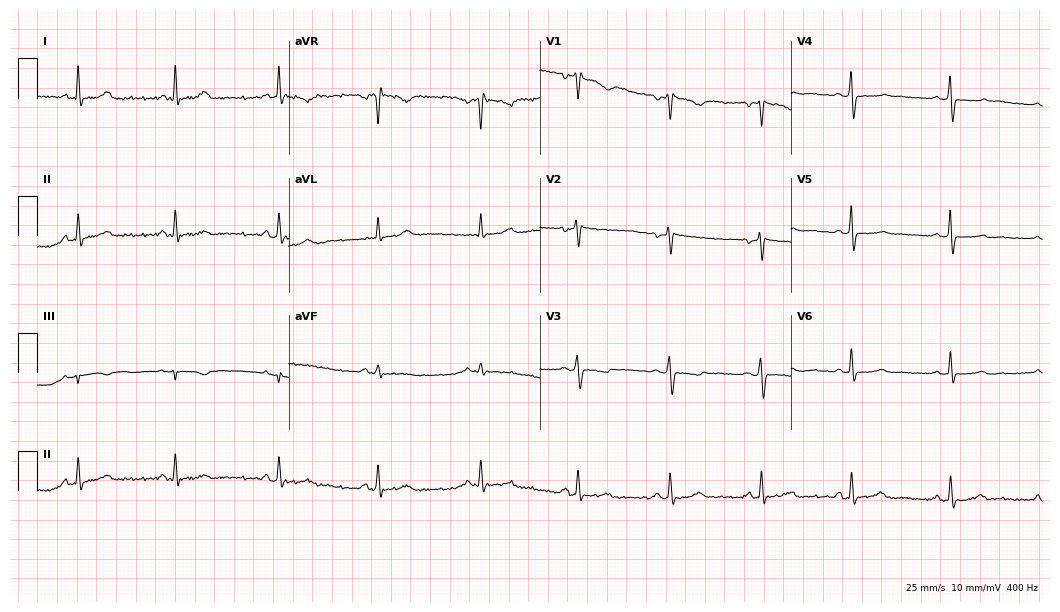
Standard 12-lead ECG recorded from a woman, 45 years old. None of these six findings is recorded: first-degree AV block, right bundle branch block (RBBB), left bundle branch block (LBBB), sinus bradycardia, atrial fibrillation (AF), sinus tachycardia. Other findings, if any, are not listed.